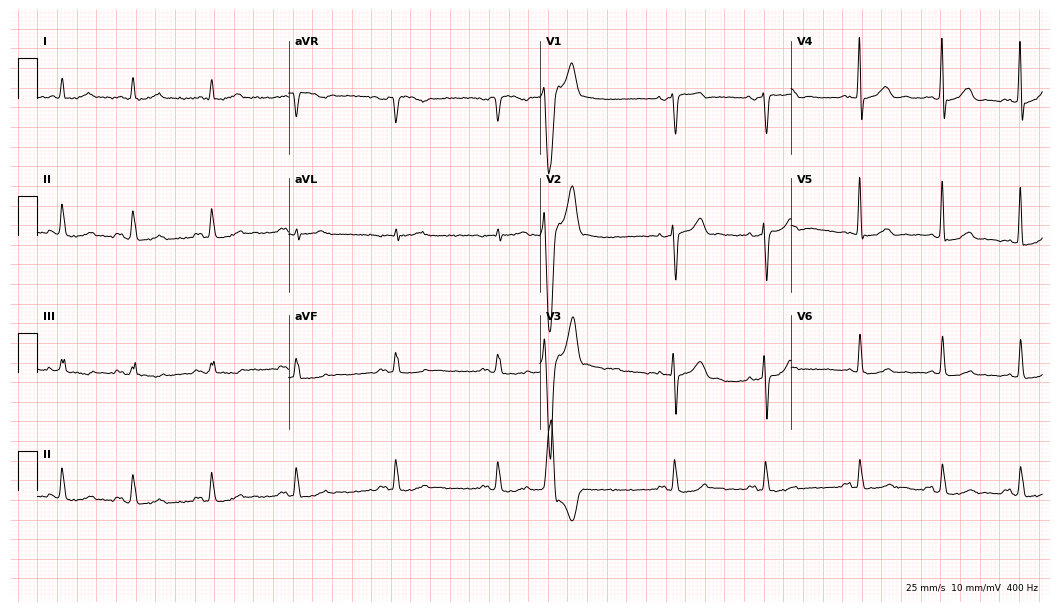
Standard 12-lead ECG recorded from an 85-year-old male patient. Read as a normal ECG.